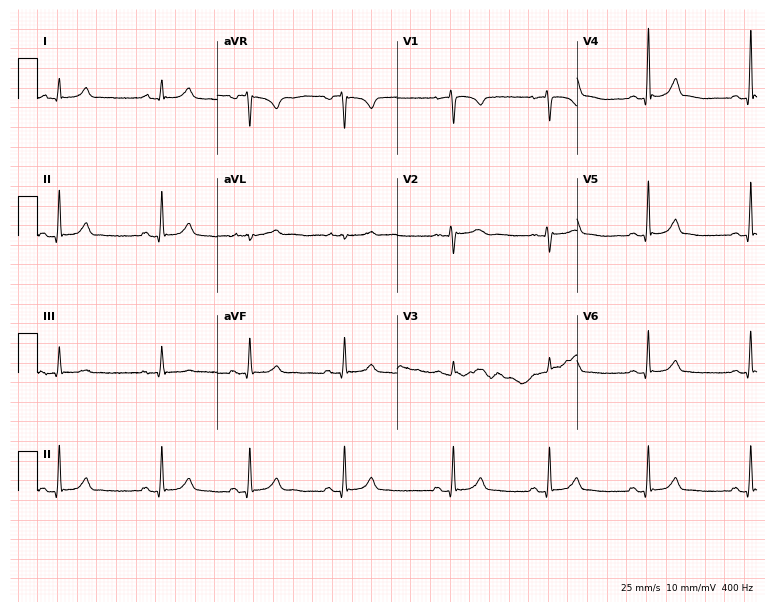
12-lead ECG from a 31-year-old woman. Labelled as a normal ECG.